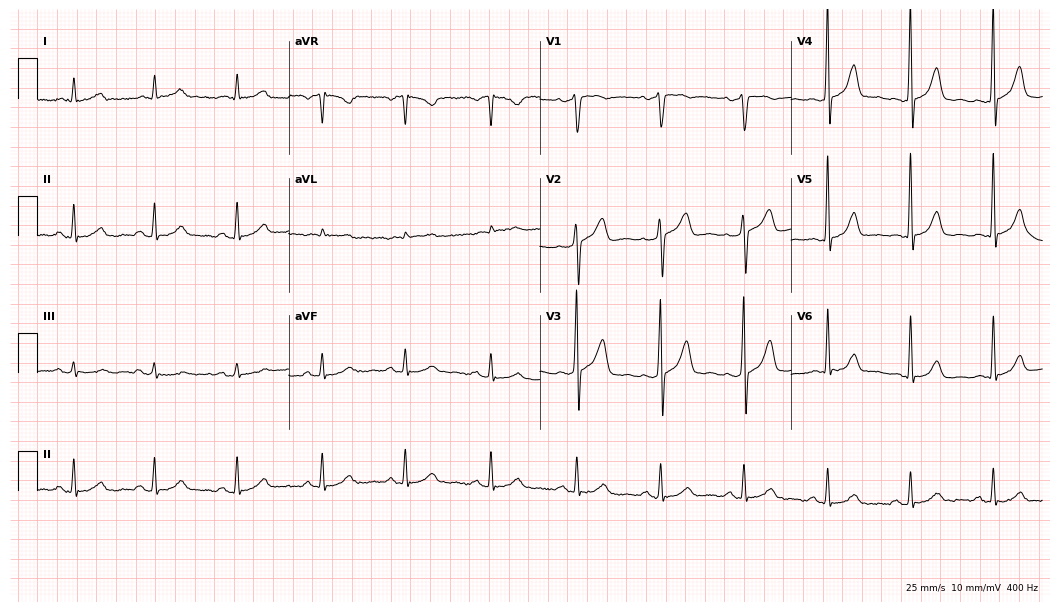
Resting 12-lead electrocardiogram (10.2-second recording at 400 Hz). Patient: a 63-year-old man. None of these six findings is recorded: first-degree AV block, right bundle branch block (RBBB), left bundle branch block (LBBB), sinus bradycardia, atrial fibrillation (AF), sinus tachycardia.